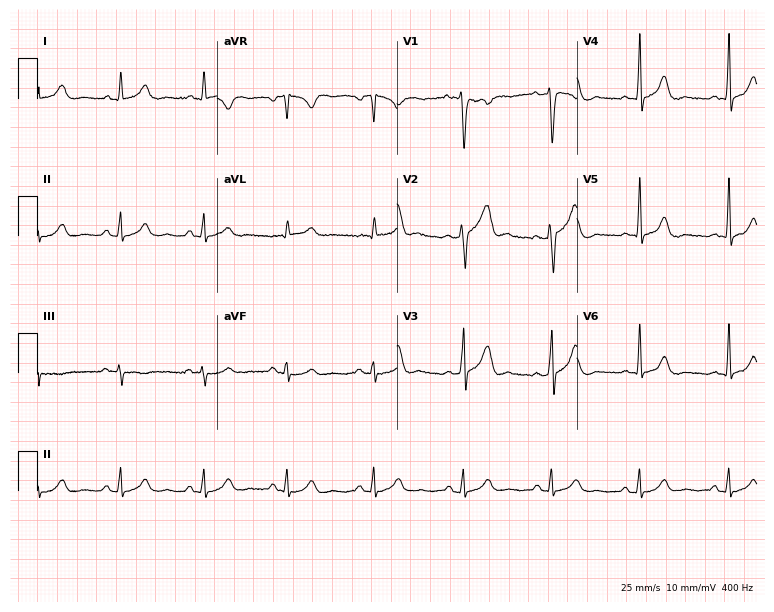
12-lead ECG (7.3-second recording at 400 Hz) from a 44-year-old male. Screened for six findings — first-degree AV block, right bundle branch block, left bundle branch block, sinus bradycardia, atrial fibrillation, sinus tachycardia — none is recorded. Findings outside these six are not listed.